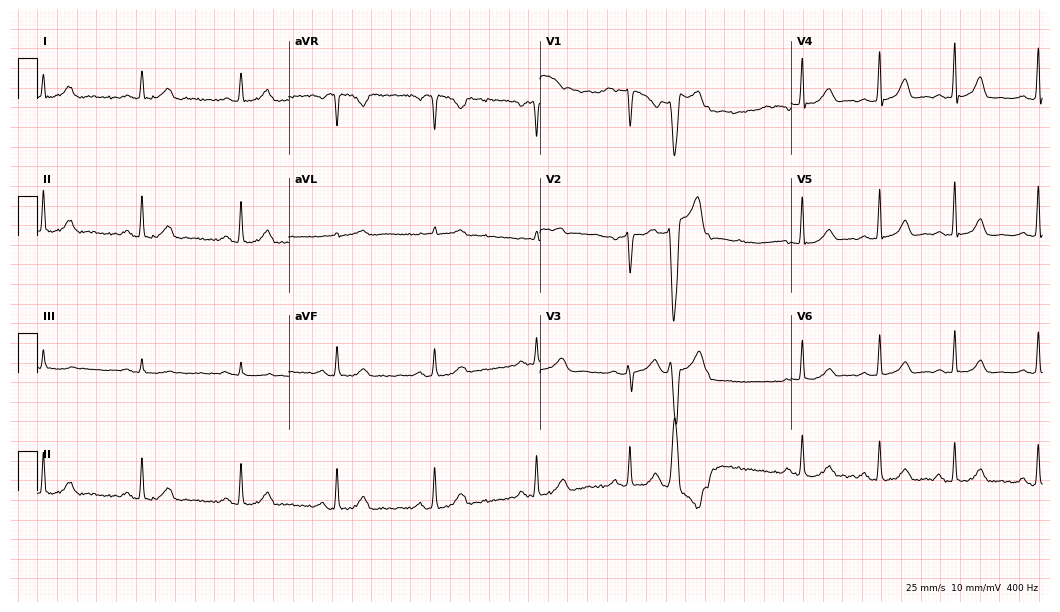
12-lead ECG from a 48-year-old female patient. No first-degree AV block, right bundle branch block, left bundle branch block, sinus bradycardia, atrial fibrillation or sinus tachycardia recorded for this tracing. Only these six findings were labelled.